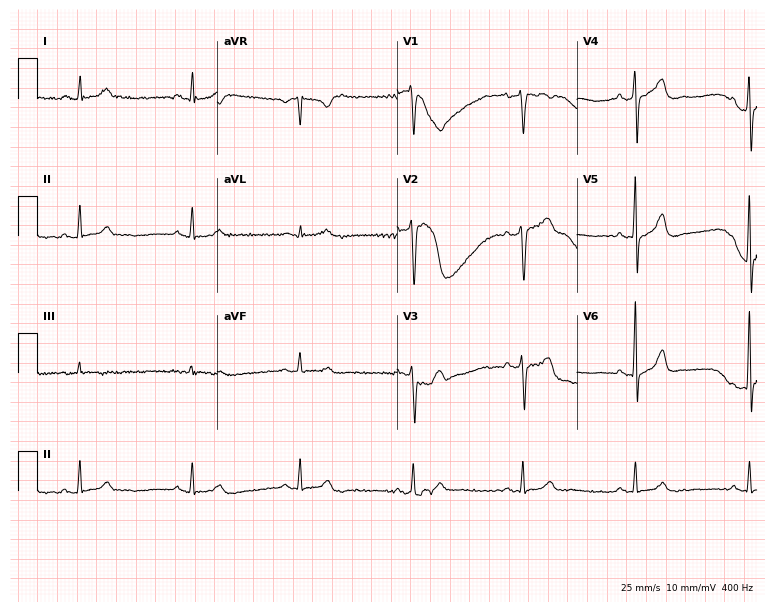
12-lead ECG (7.3-second recording at 400 Hz) from a 45-year-old male. Screened for six findings — first-degree AV block, right bundle branch block (RBBB), left bundle branch block (LBBB), sinus bradycardia, atrial fibrillation (AF), sinus tachycardia — none is recorded. Only these six findings were labelled.